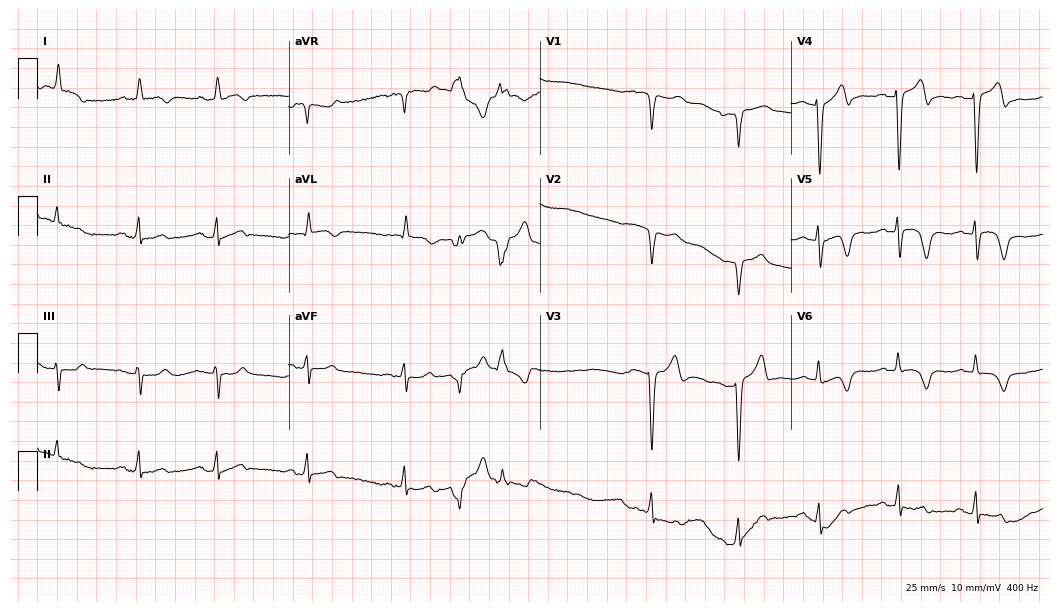
Resting 12-lead electrocardiogram. Patient: a 64-year-old male. None of these six findings is recorded: first-degree AV block, right bundle branch block, left bundle branch block, sinus bradycardia, atrial fibrillation, sinus tachycardia.